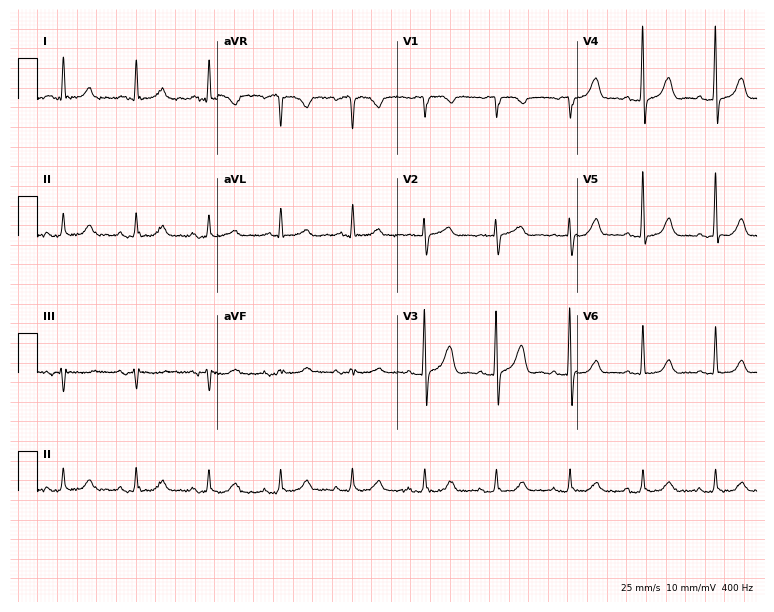
Electrocardiogram (7.3-second recording at 400 Hz), a 76-year-old female patient. Overall reading on record: normal ECG.